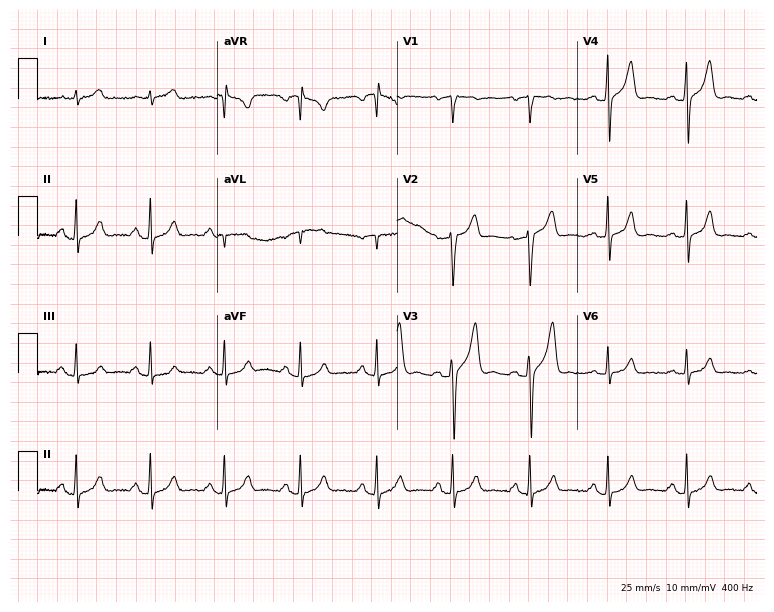
12-lead ECG from a 40-year-old man (7.3-second recording at 400 Hz). Recorded interpretation: within normal limits.